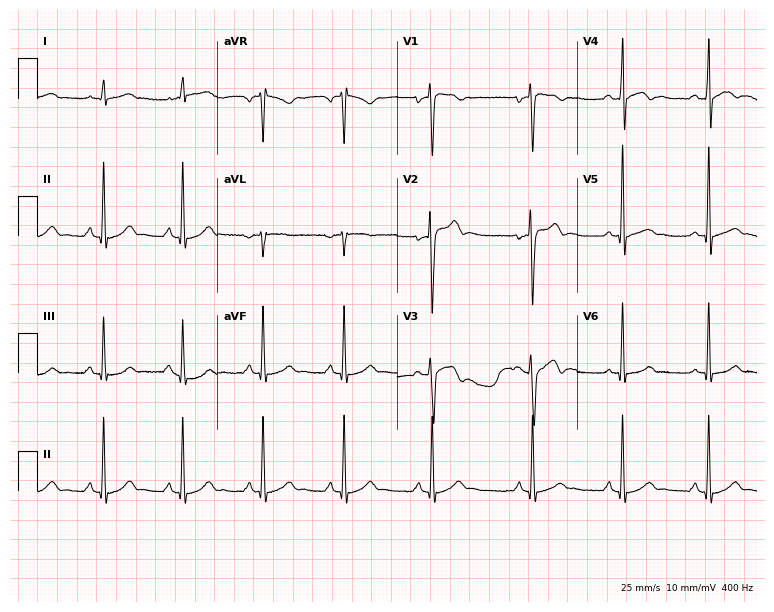
12-lead ECG from a male patient, 20 years old. No first-degree AV block, right bundle branch block, left bundle branch block, sinus bradycardia, atrial fibrillation or sinus tachycardia recorded for this tracing. Only these six findings were labelled.